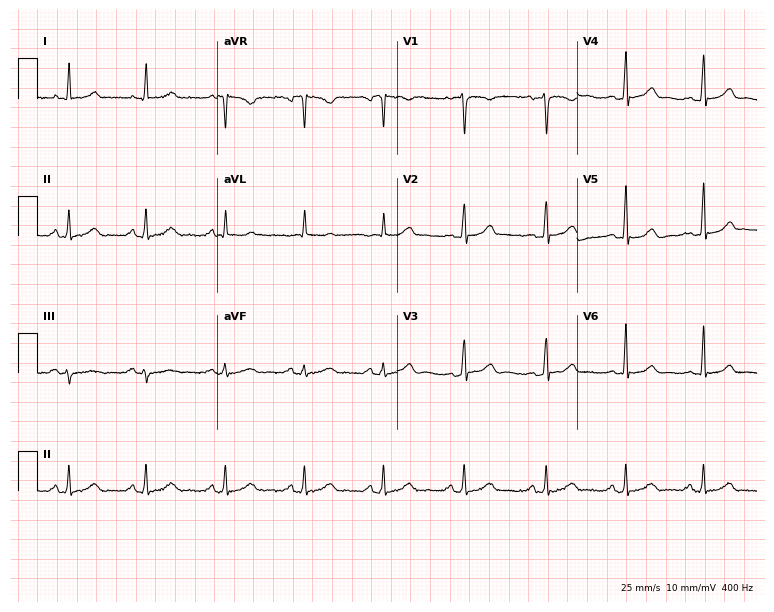
Electrocardiogram, a 37-year-old woman. Overall reading on record: normal ECG.